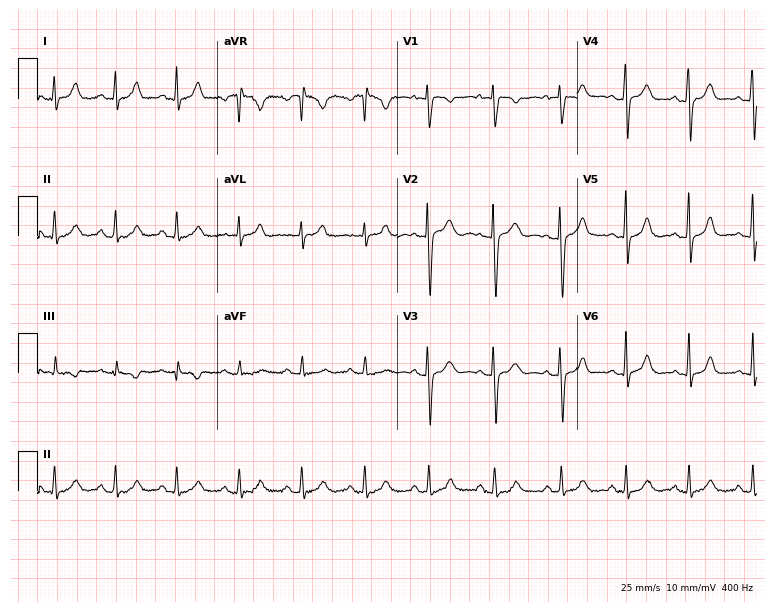
12-lead ECG (7.3-second recording at 400 Hz) from a female, 27 years old. Labelled as a normal ECG.